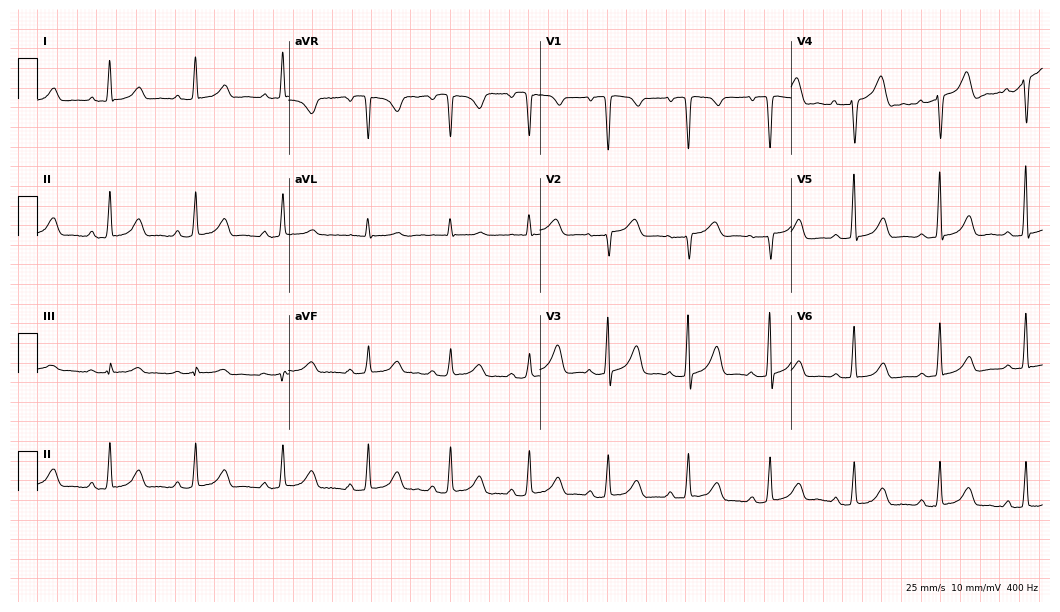
ECG — a female patient, 45 years old. Labelled as a normal ECG.